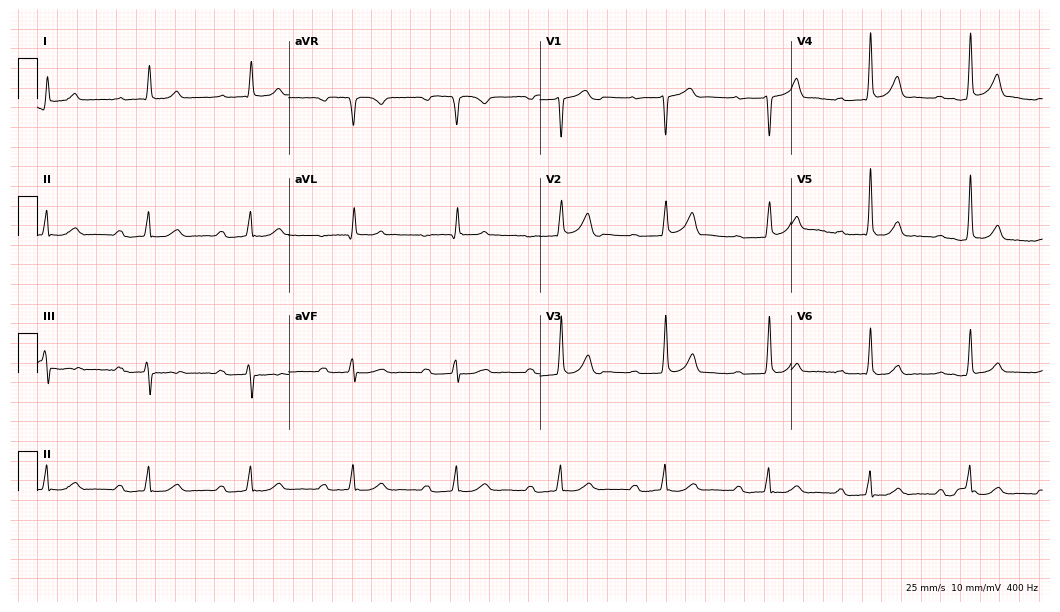
12-lead ECG (10.2-second recording at 400 Hz) from a man, 71 years old. Findings include first-degree AV block.